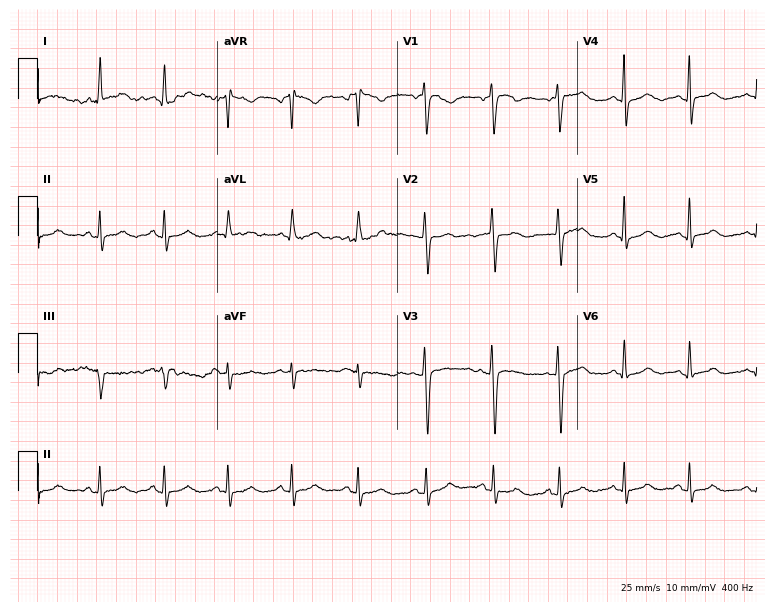
Resting 12-lead electrocardiogram (7.3-second recording at 400 Hz). Patient: a 47-year-old female. None of these six findings is recorded: first-degree AV block, right bundle branch block, left bundle branch block, sinus bradycardia, atrial fibrillation, sinus tachycardia.